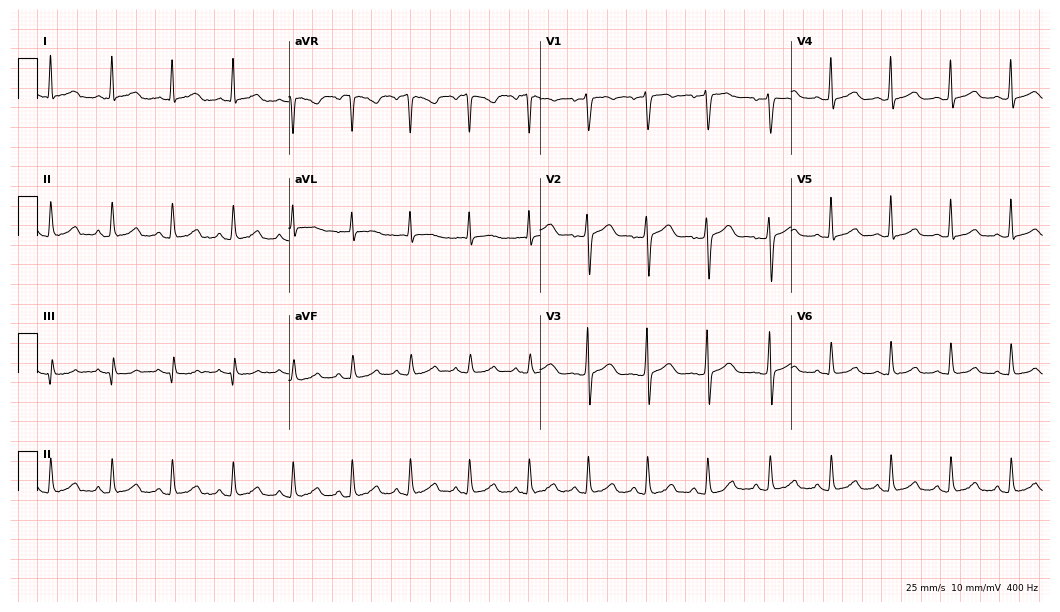
Standard 12-lead ECG recorded from a female patient, 40 years old. None of these six findings is recorded: first-degree AV block, right bundle branch block, left bundle branch block, sinus bradycardia, atrial fibrillation, sinus tachycardia. Only these six findings were labelled.